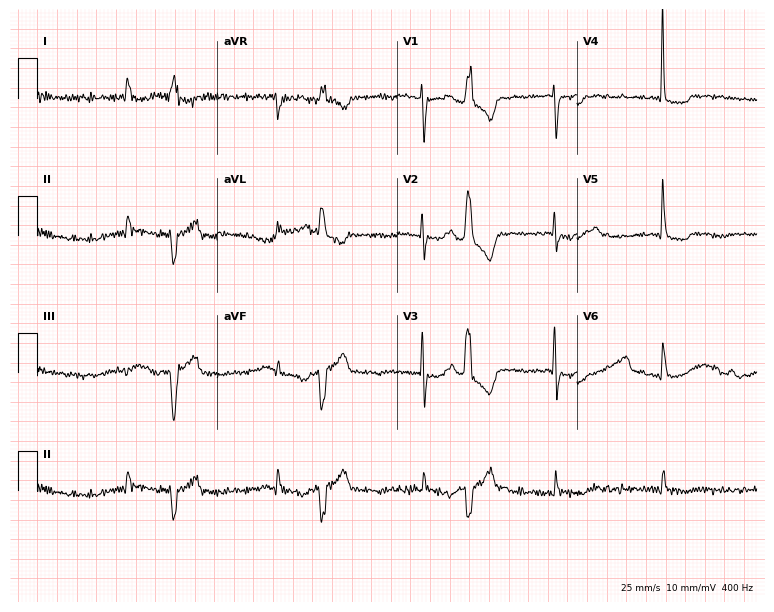
ECG — an 80-year-old female patient. Screened for six findings — first-degree AV block, right bundle branch block, left bundle branch block, sinus bradycardia, atrial fibrillation, sinus tachycardia — none is recorded.